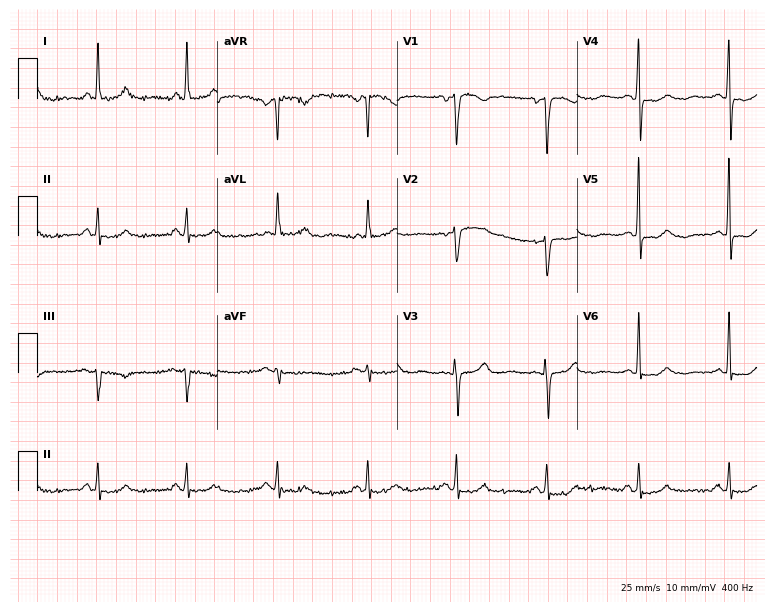
Standard 12-lead ECG recorded from a 67-year-old female patient (7.3-second recording at 400 Hz). None of these six findings is recorded: first-degree AV block, right bundle branch block, left bundle branch block, sinus bradycardia, atrial fibrillation, sinus tachycardia.